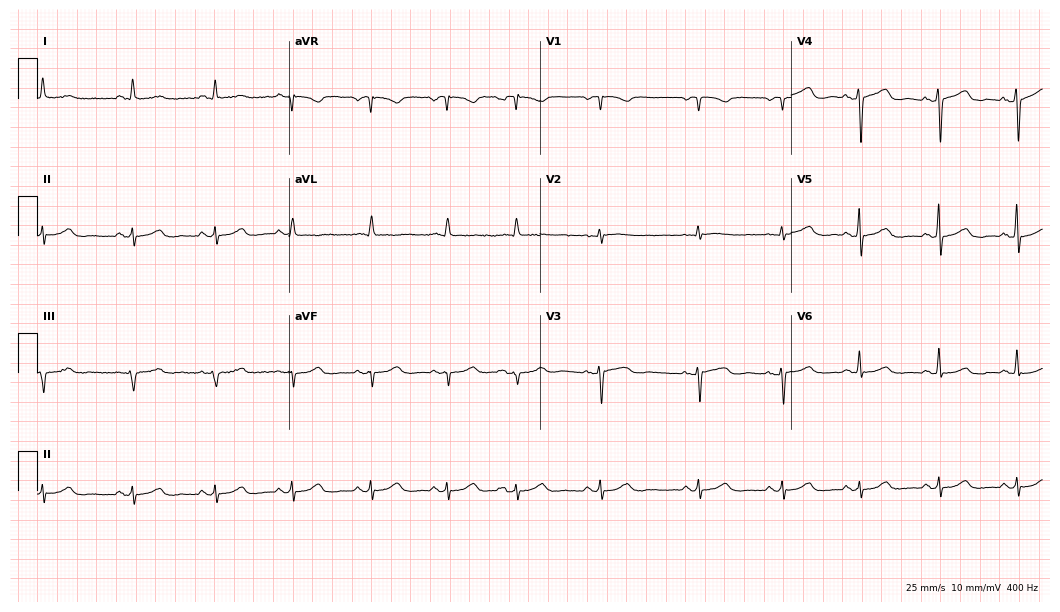
ECG — a 79-year-old female patient. Labelled as a normal ECG.